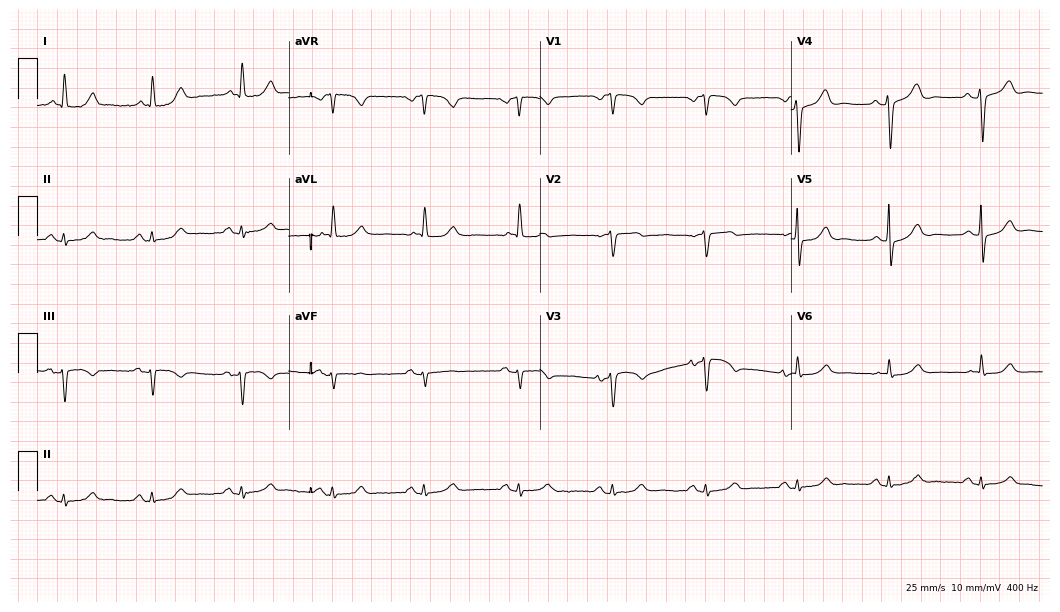
ECG — a 77-year-old female. Screened for six findings — first-degree AV block, right bundle branch block (RBBB), left bundle branch block (LBBB), sinus bradycardia, atrial fibrillation (AF), sinus tachycardia — none is recorded.